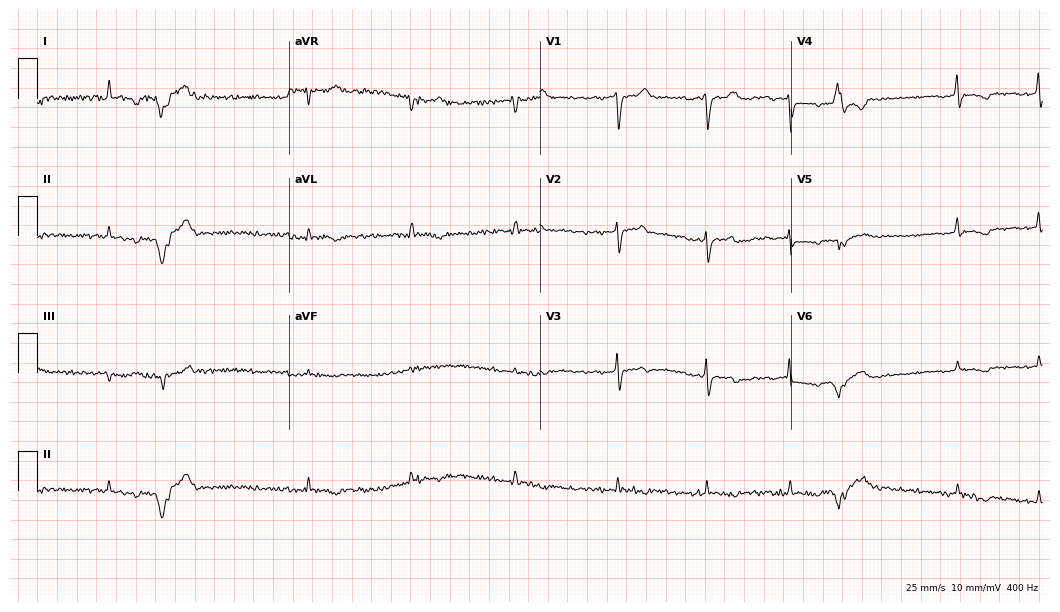
Resting 12-lead electrocardiogram (10.2-second recording at 400 Hz). Patient: a woman, 72 years old. None of these six findings is recorded: first-degree AV block, right bundle branch block, left bundle branch block, sinus bradycardia, atrial fibrillation, sinus tachycardia. Only these six findings were labelled.